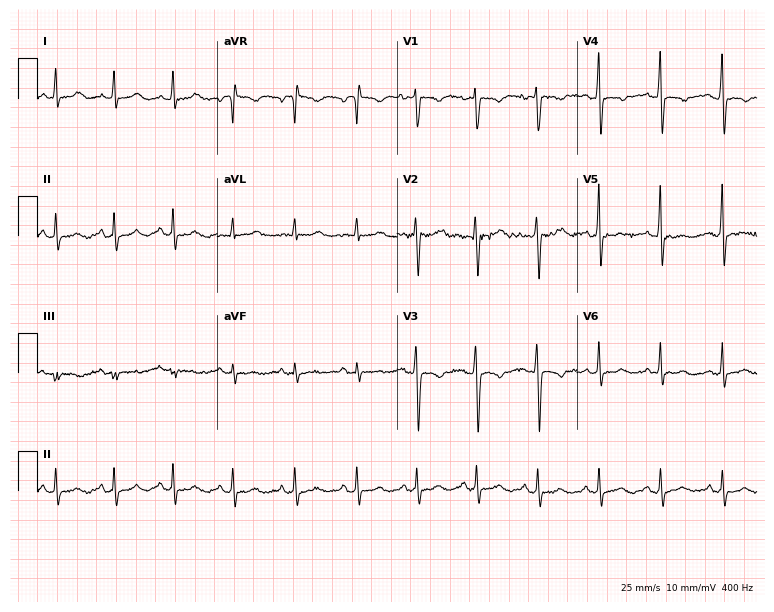
ECG (7.3-second recording at 400 Hz) — a female patient, 32 years old. Screened for six findings — first-degree AV block, right bundle branch block, left bundle branch block, sinus bradycardia, atrial fibrillation, sinus tachycardia — none is recorded. Other findings, if any, are not listed.